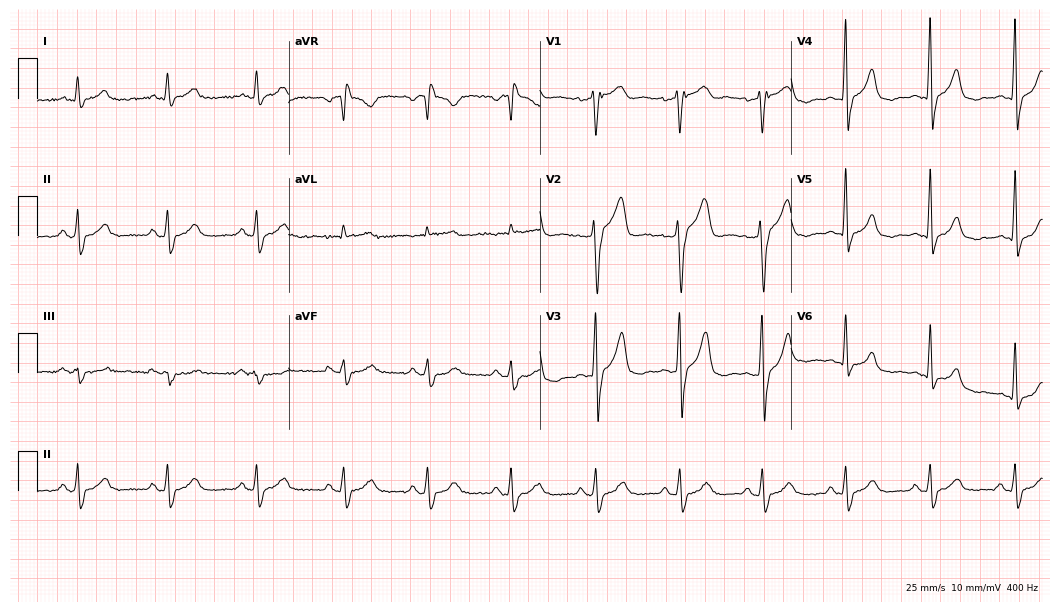
12-lead ECG from a 67-year-old woman (10.2-second recording at 400 Hz). No first-degree AV block, right bundle branch block, left bundle branch block, sinus bradycardia, atrial fibrillation or sinus tachycardia recorded for this tracing. Only these six findings were labelled.